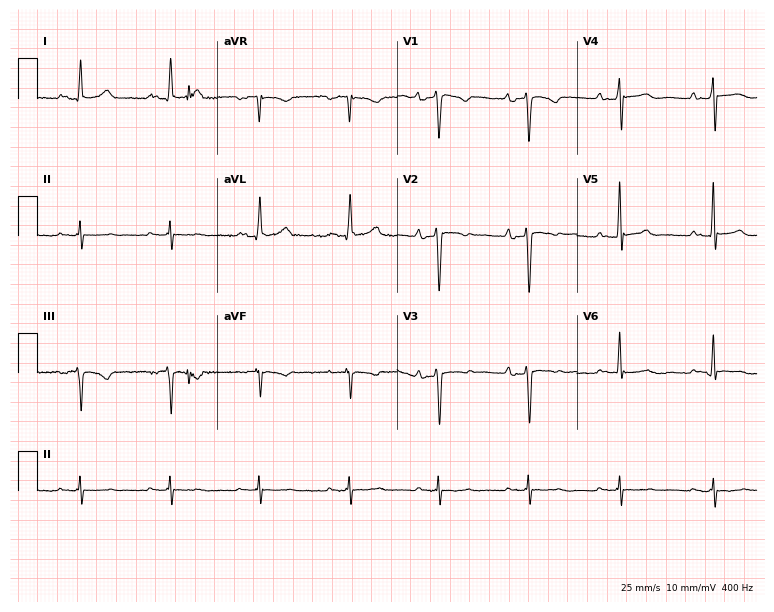
Electrocardiogram, a man, 70 years old. Of the six screened findings (first-degree AV block, right bundle branch block (RBBB), left bundle branch block (LBBB), sinus bradycardia, atrial fibrillation (AF), sinus tachycardia), none is recorded. Findings outside these six are not listed.